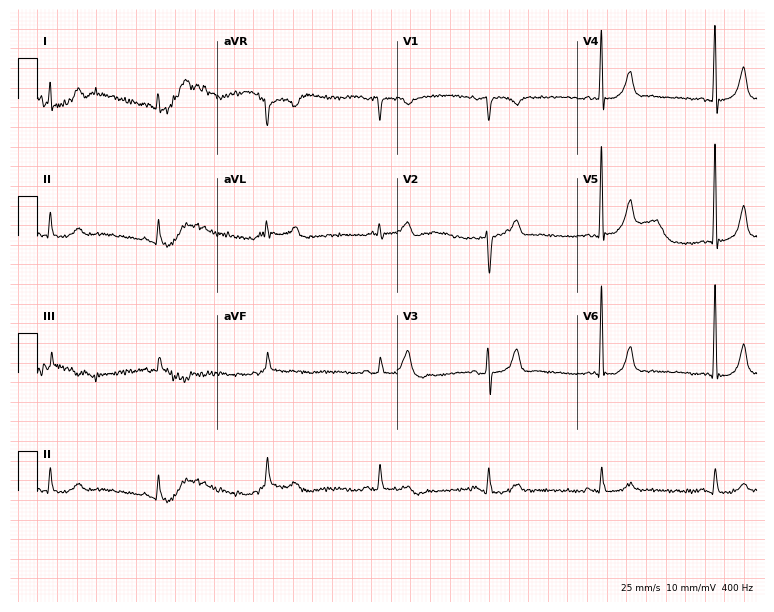
Electrocardiogram (7.3-second recording at 400 Hz), a 72-year-old male. Of the six screened findings (first-degree AV block, right bundle branch block, left bundle branch block, sinus bradycardia, atrial fibrillation, sinus tachycardia), none is recorded.